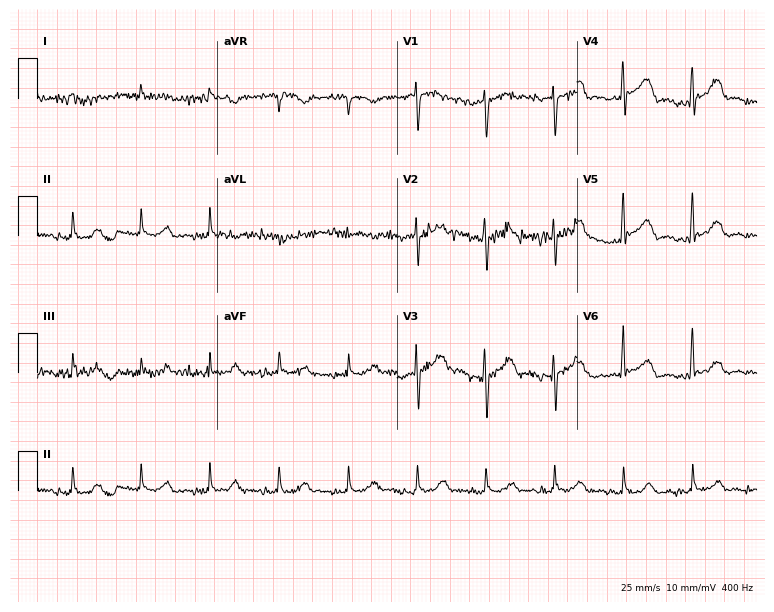
Standard 12-lead ECG recorded from a male patient, 81 years old (7.3-second recording at 400 Hz). None of these six findings is recorded: first-degree AV block, right bundle branch block (RBBB), left bundle branch block (LBBB), sinus bradycardia, atrial fibrillation (AF), sinus tachycardia. Findings outside these six are not listed.